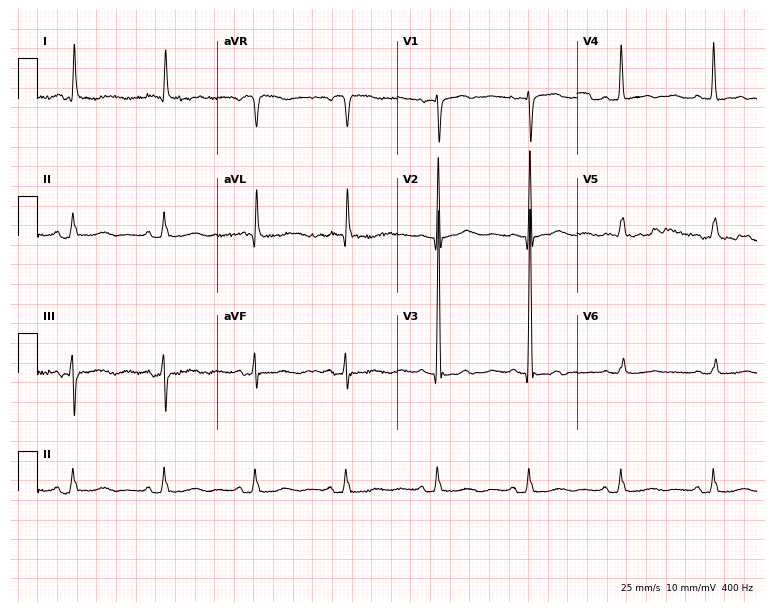
12-lead ECG from an 83-year-old female patient (7.3-second recording at 400 Hz). No first-degree AV block, right bundle branch block (RBBB), left bundle branch block (LBBB), sinus bradycardia, atrial fibrillation (AF) or sinus tachycardia recorded for this tracing.